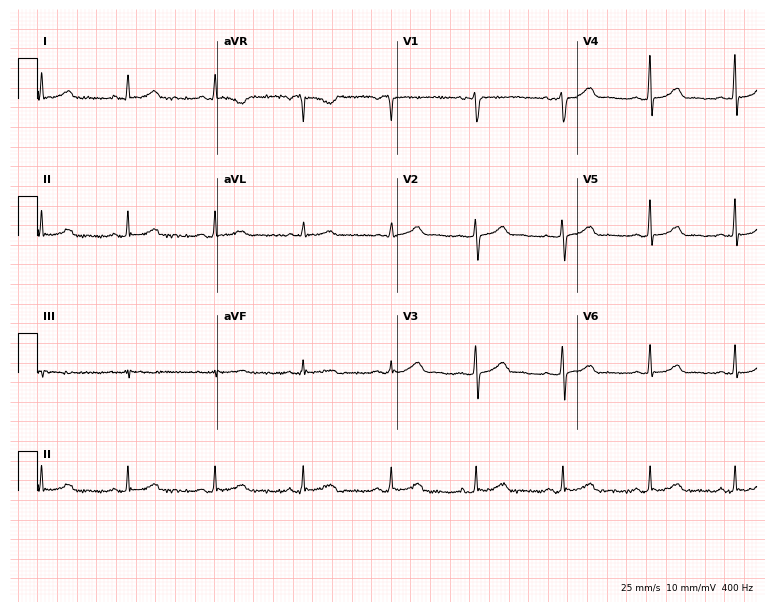
Electrocardiogram (7.3-second recording at 400 Hz), a woman, 36 years old. Overall reading on record: normal ECG.